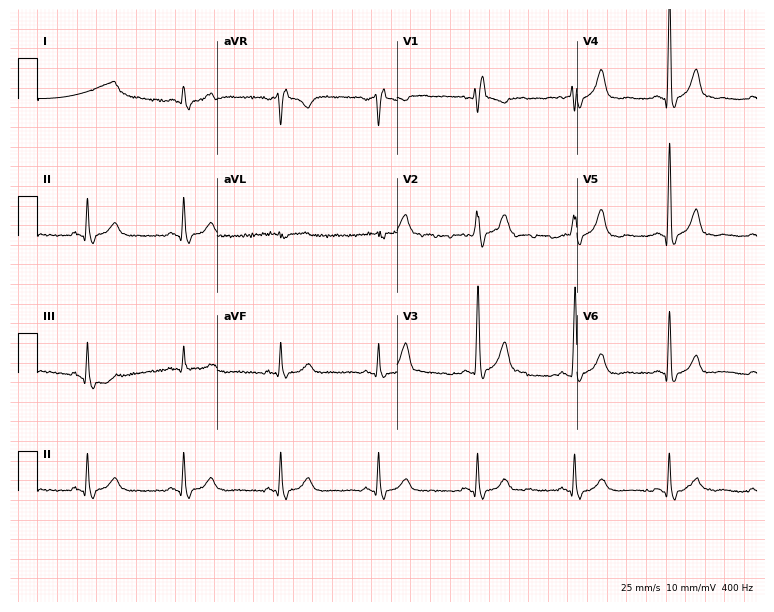
ECG — a 73-year-old male patient. Findings include right bundle branch block.